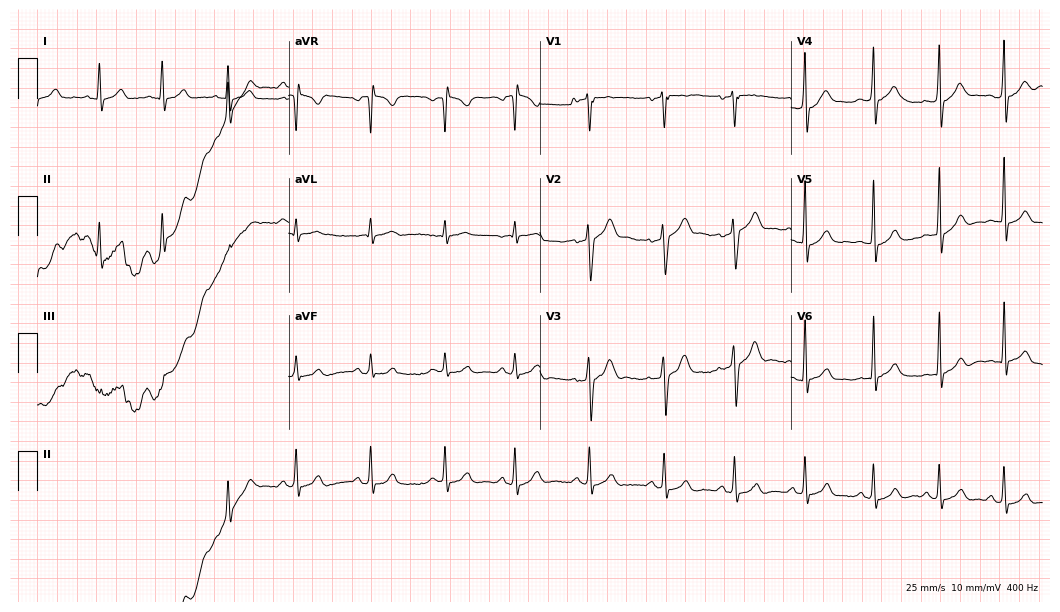
ECG (10.2-second recording at 400 Hz) — a male, 23 years old. Labelled as a normal ECG.